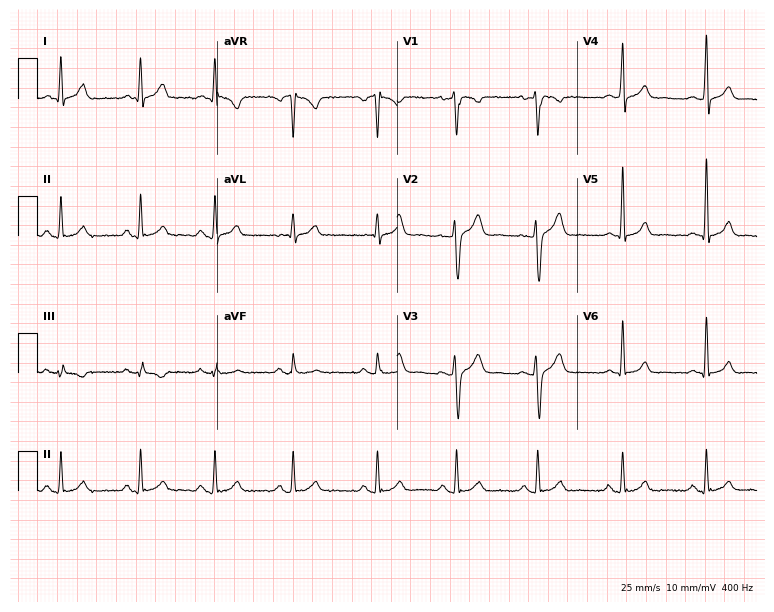
12-lead ECG from a 28-year-old man. Labelled as a normal ECG.